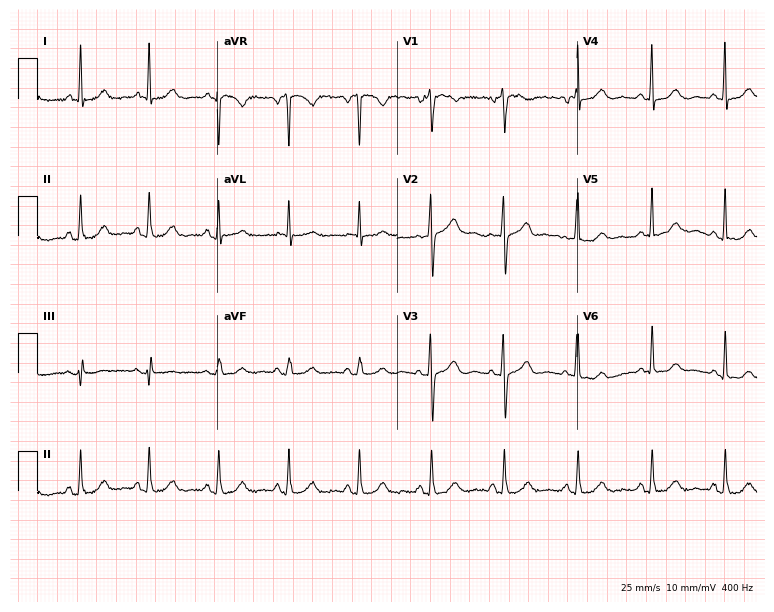
12-lead ECG from a female patient, 55 years old (7.3-second recording at 400 Hz). Recorded interpretation: within normal limits.